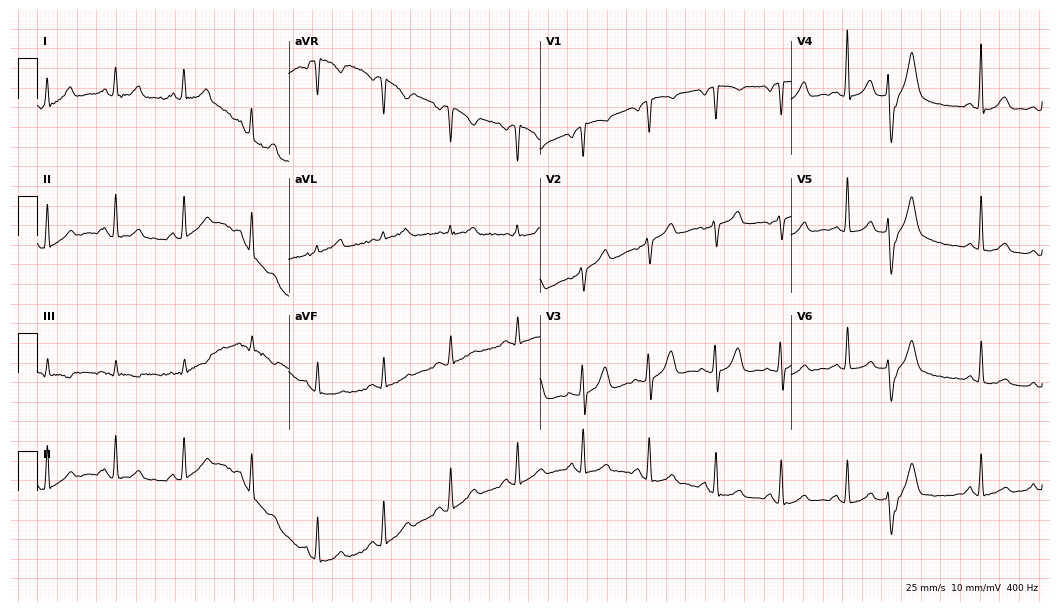
Electrocardiogram, a 48-year-old woman. Of the six screened findings (first-degree AV block, right bundle branch block, left bundle branch block, sinus bradycardia, atrial fibrillation, sinus tachycardia), none is recorded. Findings outside these six are not listed.